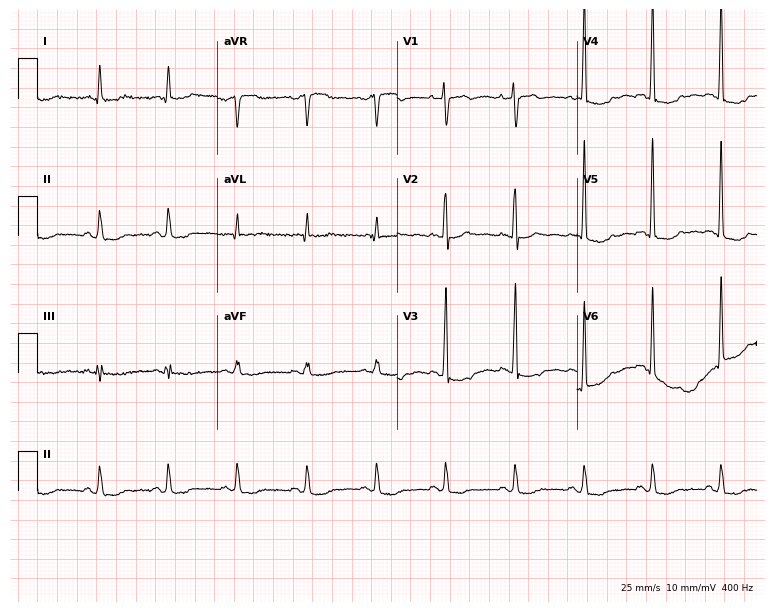
Resting 12-lead electrocardiogram (7.3-second recording at 400 Hz). Patient: a 77-year-old man. None of these six findings is recorded: first-degree AV block, right bundle branch block, left bundle branch block, sinus bradycardia, atrial fibrillation, sinus tachycardia.